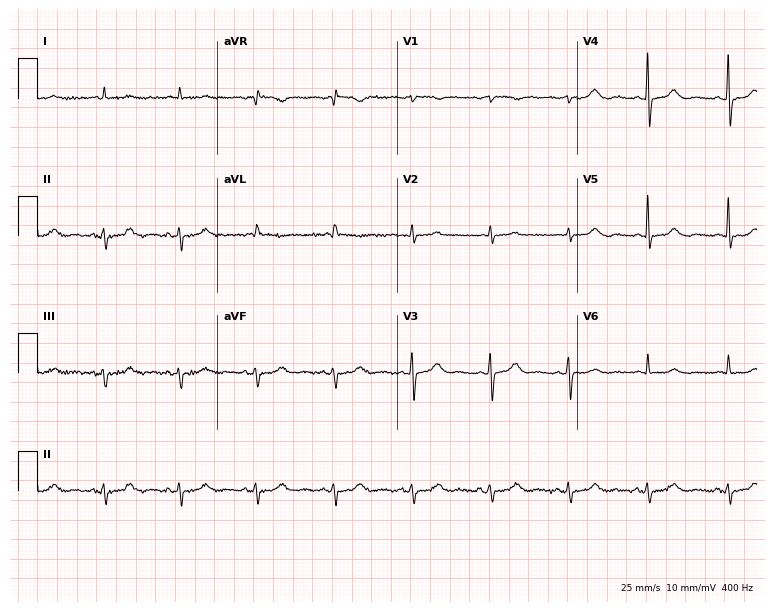
12-lead ECG (7.3-second recording at 400 Hz) from an 80-year-old male patient. Screened for six findings — first-degree AV block, right bundle branch block (RBBB), left bundle branch block (LBBB), sinus bradycardia, atrial fibrillation (AF), sinus tachycardia — none is recorded. Findings outside these six are not listed.